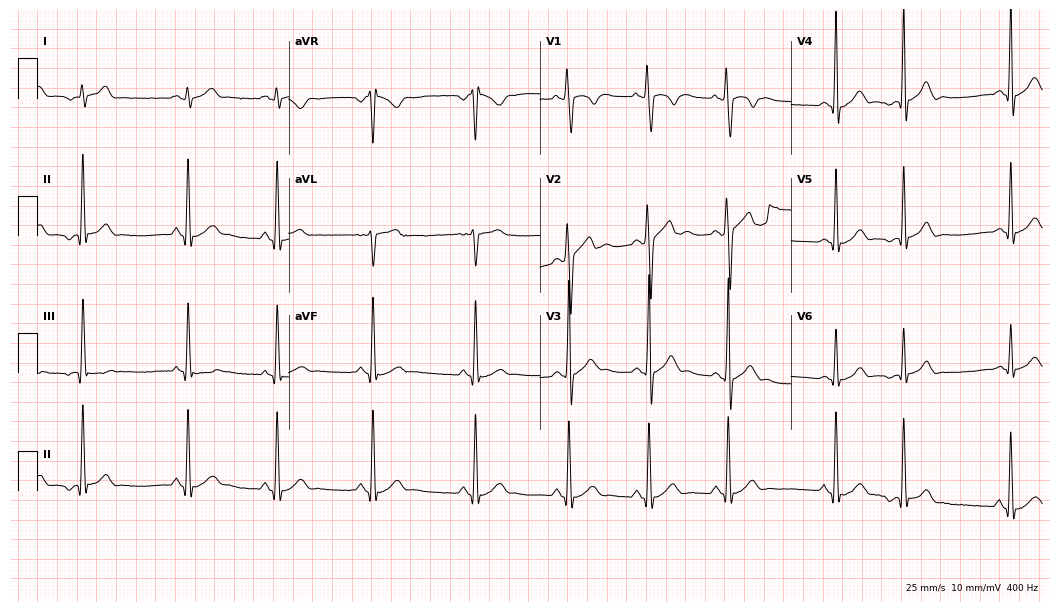
12-lead ECG from a 17-year-old man. No first-degree AV block, right bundle branch block, left bundle branch block, sinus bradycardia, atrial fibrillation or sinus tachycardia recorded for this tracing. Only these six findings were labelled.